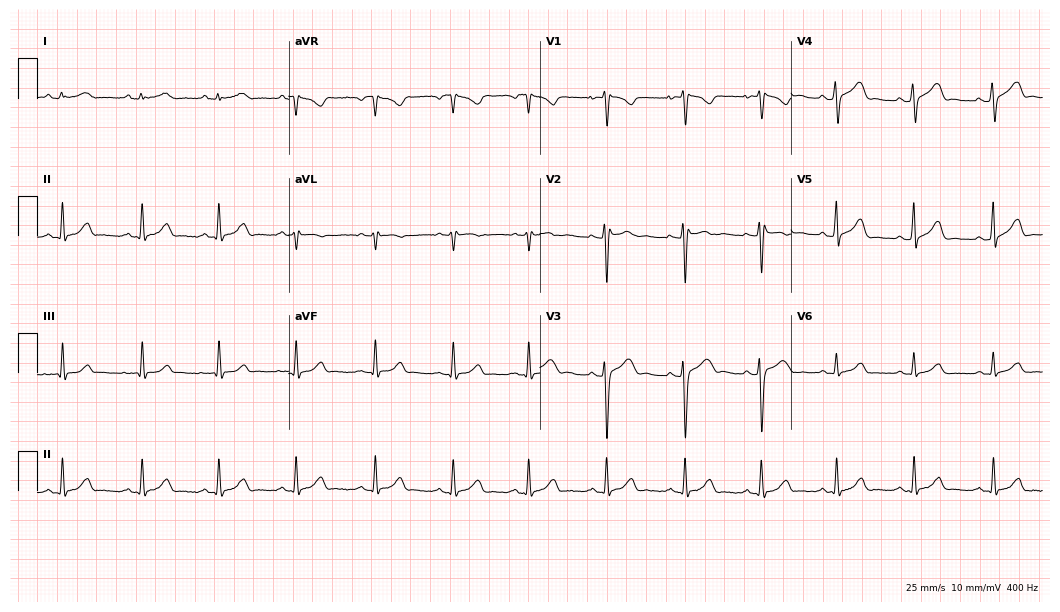
Standard 12-lead ECG recorded from a 34-year-old female patient. Read as a normal ECG.